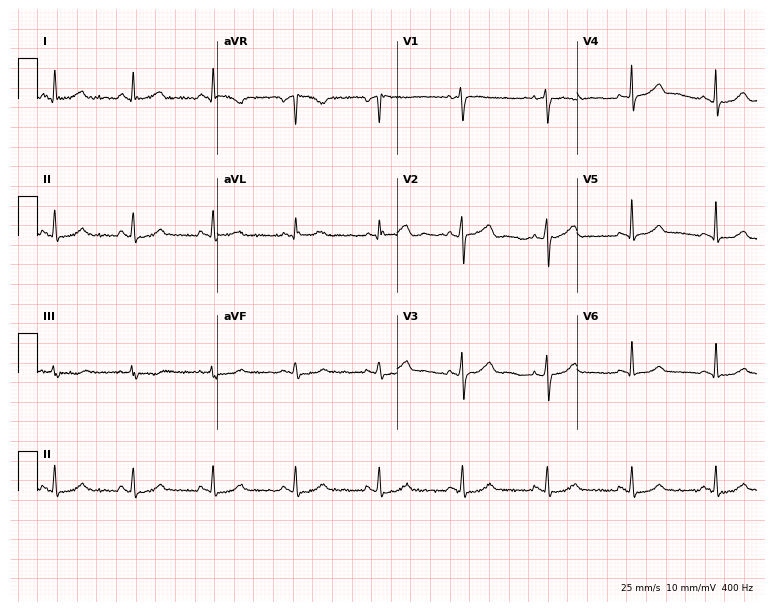
12-lead ECG from a female, 42 years old. No first-degree AV block, right bundle branch block, left bundle branch block, sinus bradycardia, atrial fibrillation or sinus tachycardia recorded for this tracing. Only these six findings were labelled.